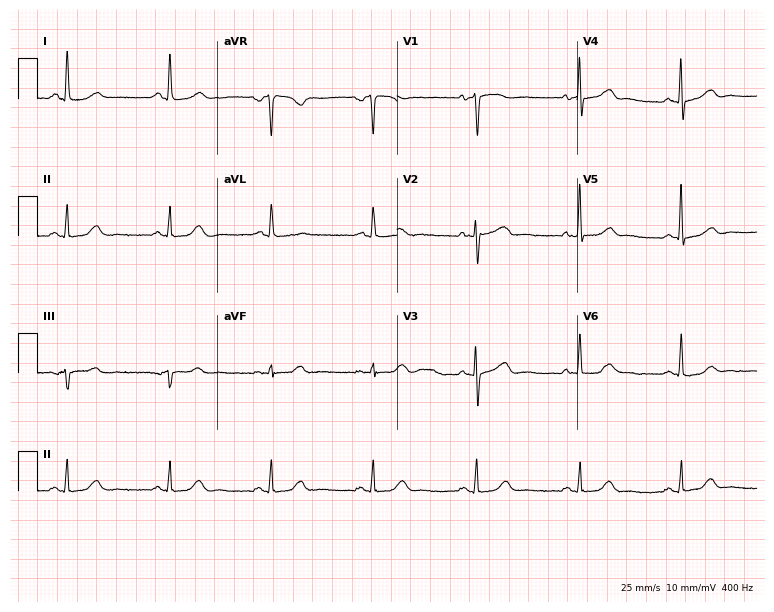
12-lead ECG from a 71-year-old female patient. Recorded interpretation: within normal limits.